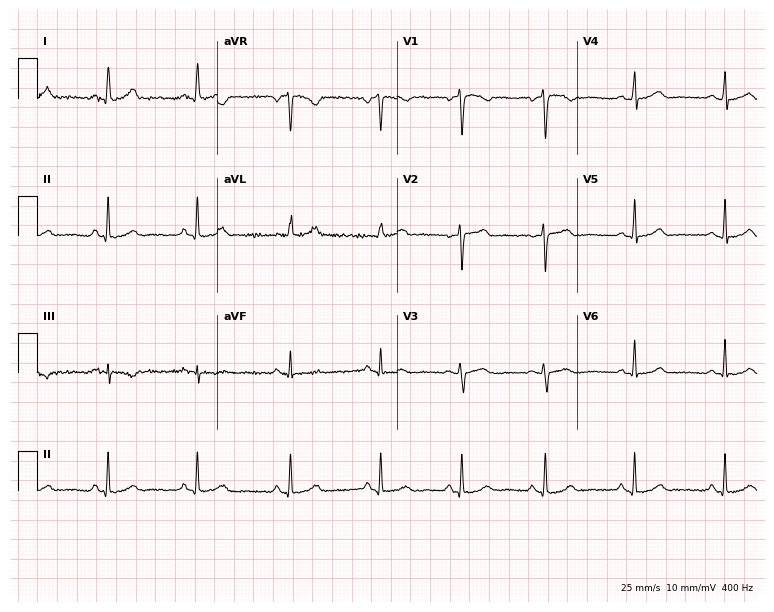
ECG (7.3-second recording at 400 Hz) — a woman, 31 years old. Labelled as a normal ECG.